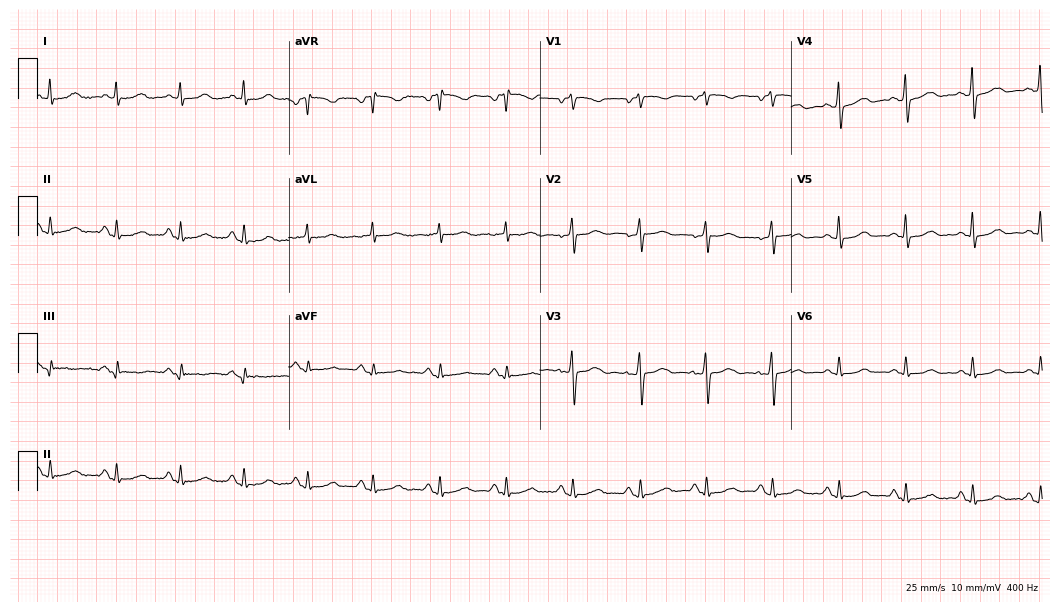
12-lead ECG (10.2-second recording at 400 Hz) from a female patient, 43 years old. Labelled as a normal ECG.